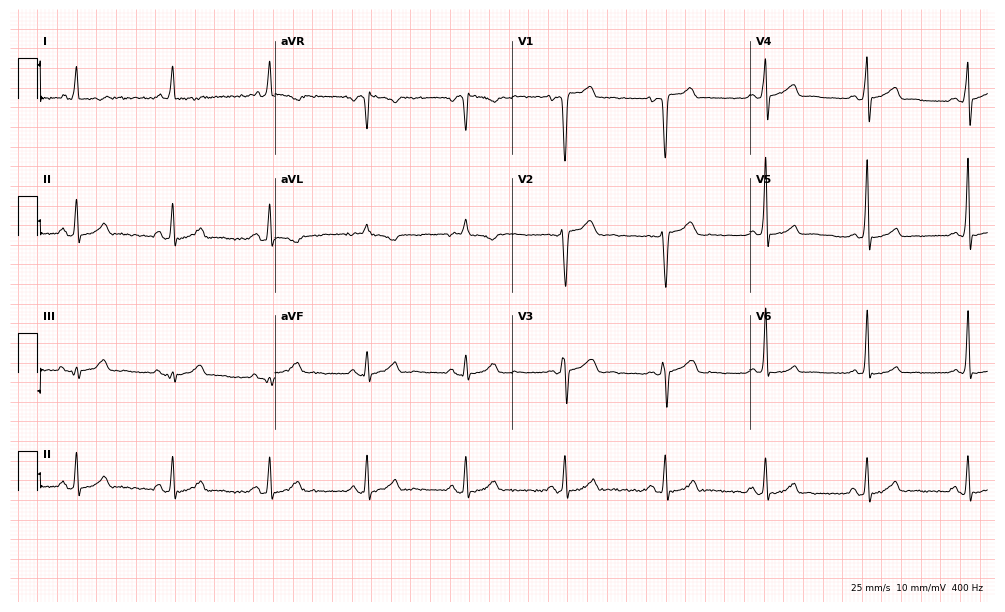
12-lead ECG (9.7-second recording at 400 Hz) from a man, 79 years old. Screened for six findings — first-degree AV block, right bundle branch block, left bundle branch block, sinus bradycardia, atrial fibrillation, sinus tachycardia — none is recorded. Other findings, if any, are not listed.